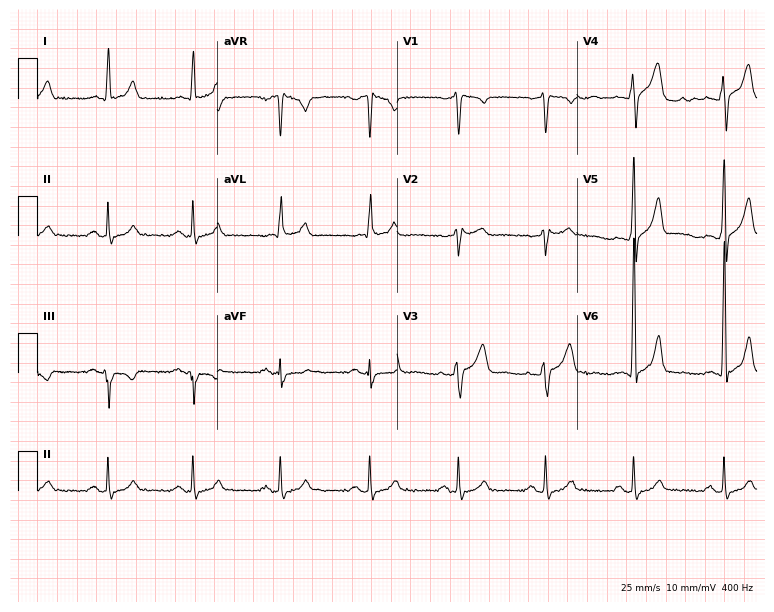
Electrocardiogram, a 46-year-old man. Of the six screened findings (first-degree AV block, right bundle branch block, left bundle branch block, sinus bradycardia, atrial fibrillation, sinus tachycardia), none is recorded.